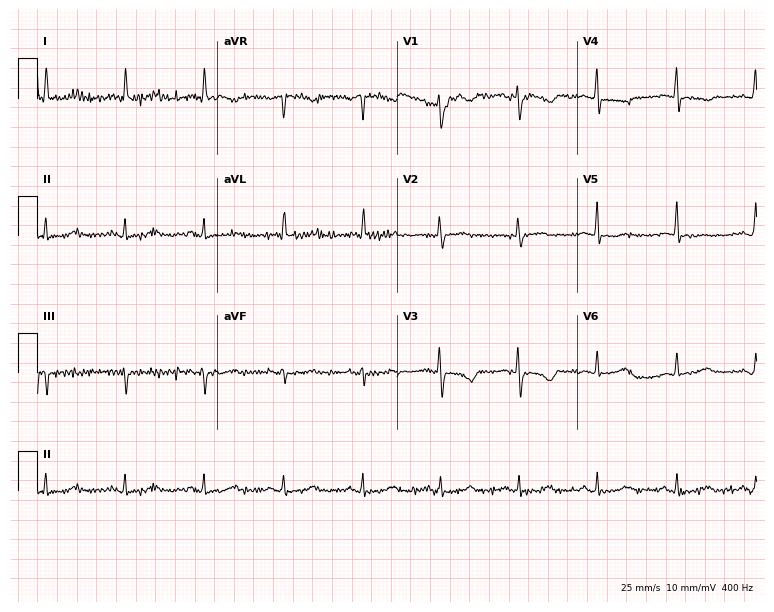
12-lead ECG from a 51-year-old woman (7.3-second recording at 400 Hz). Recorded interpretation: within normal limits.